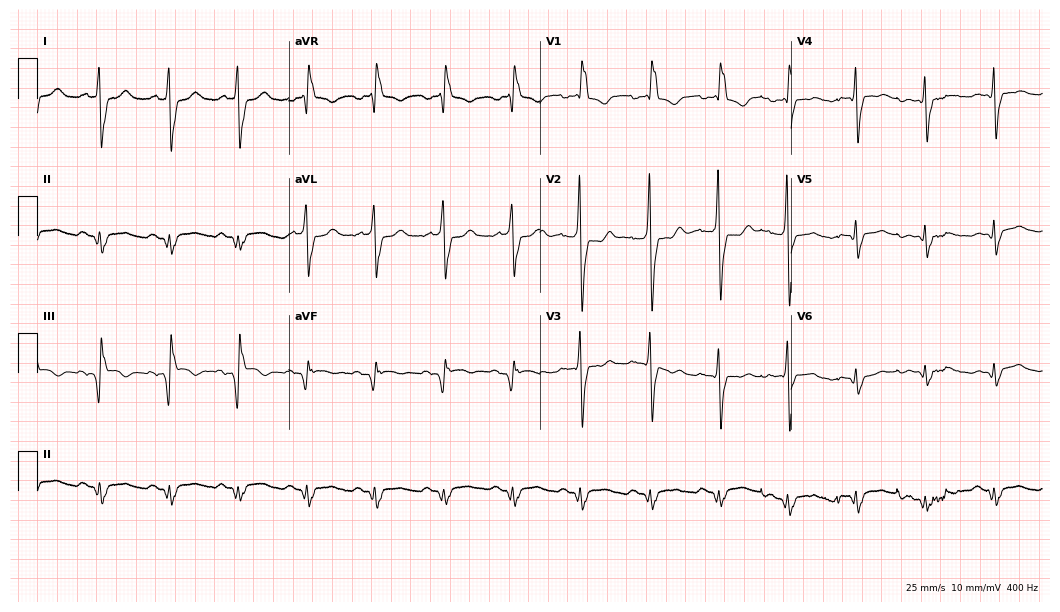
12-lead ECG (10.2-second recording at 400 Hz) from an 84-year-old woman. Findings include right bundle branch block.